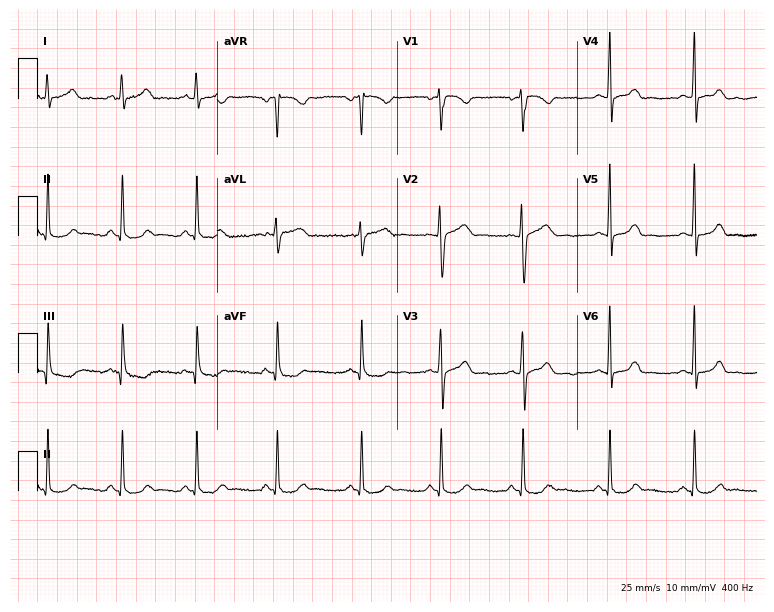
Electrocardiogram (7.3-second recording at 400 Hz), a 28-year-old female patient. Of the six screened findings (first-degree AV block, right bundle branch block, left bundle branch block, sinus bradycardia, atrial fibrillation, sinus tachycardia), none is recorded. Only these six findings were labelled.